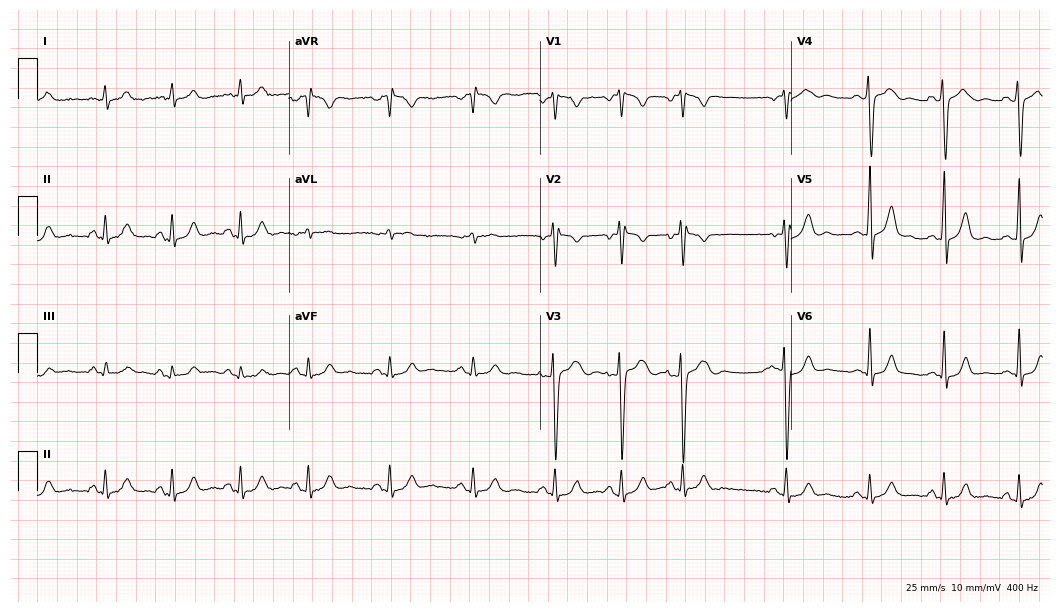
12-lead ECG from a 20-year-old male (10.2-second recording at 400 Hz). Recorded interpretation: within normal limits.